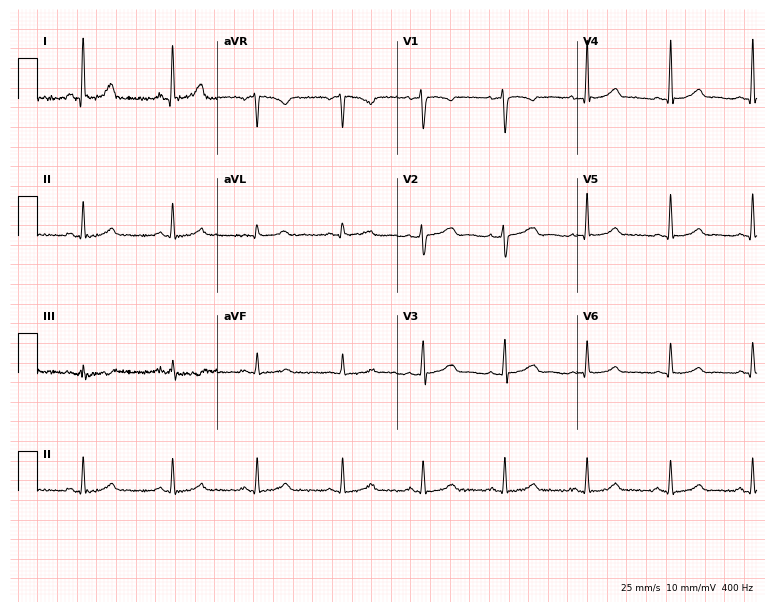
12-lead ECG from a female, 45 years old. No first-degree AV block, right bundle branch block, left bundle branch block, sinus bradycardia, atrial fibrillation or sinus tachycardia recorded for this tracing.